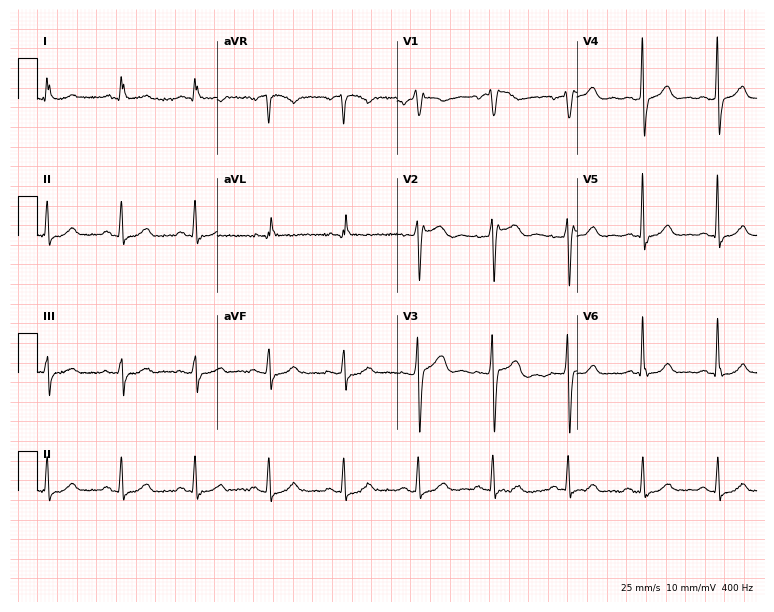
Standard 12-lead ECG recorded from a 58-year-old man (7.3-second recording at 400 Hz). None of these six findings is recorded: first-degree AV block, right bundle branch block (RBBB), left bundle branch block (LBBB), sinus bradycardia, atrial fibrillation (AF), sinus tachycardia.